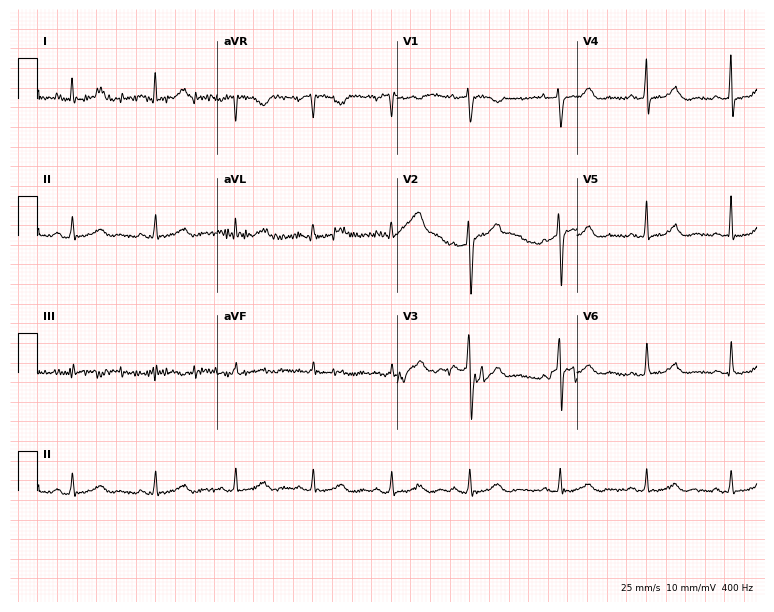
12-lead ECG from a female patient, 38 years old (7.3-second recording at 400 Hz). Recorded interpretation: within normal limits.